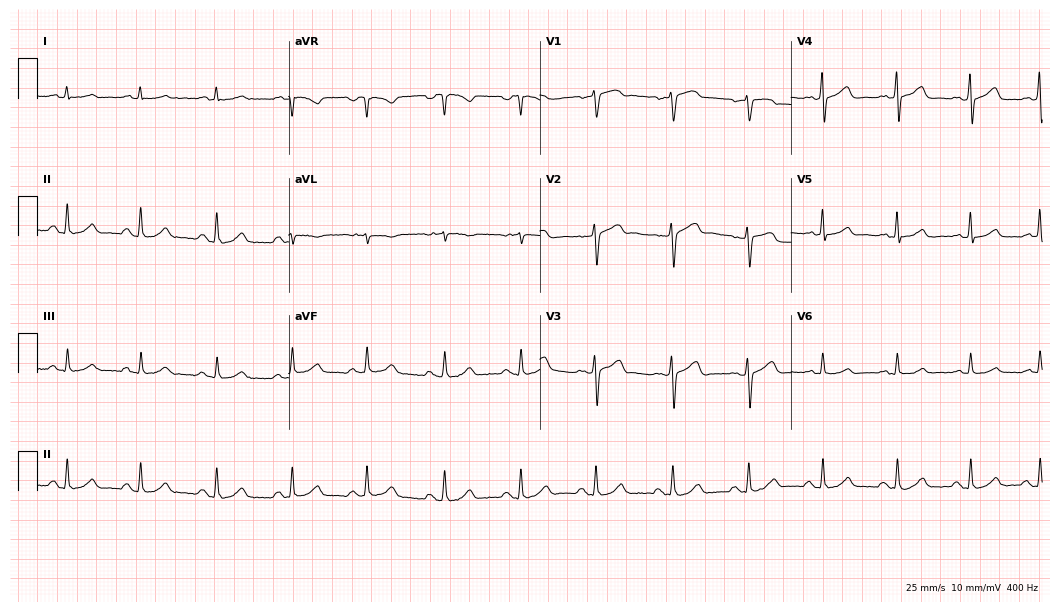
Electrocardiogram (10.2-second recording at 400 Hz), a 43-year-old male patient. Overall reading on record: normal ECG.